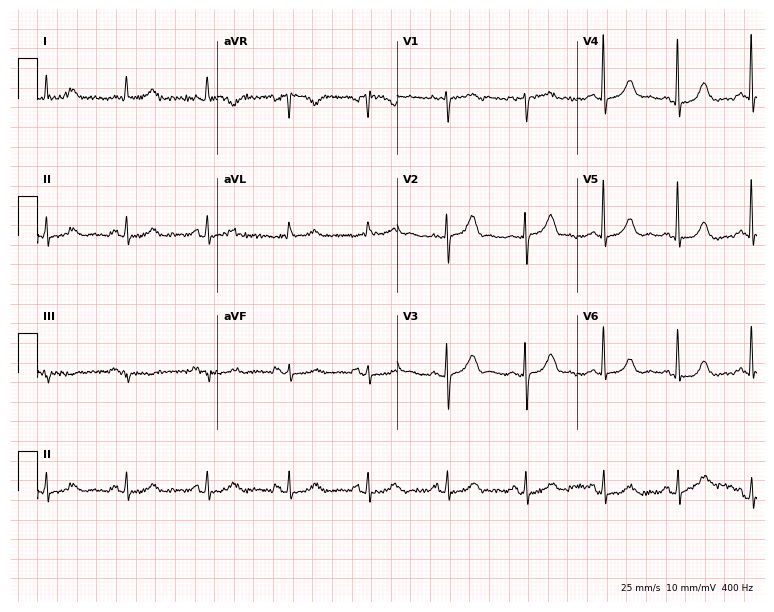
ECG — a 73-year-old female patient. Screened for six findings — first-degree AV block, right bundle branch block, left bundle branch block, sinus bradycardia, atrial fibrillation, sinus tachycardia — none is recorded. Findings outside these six are not listed.